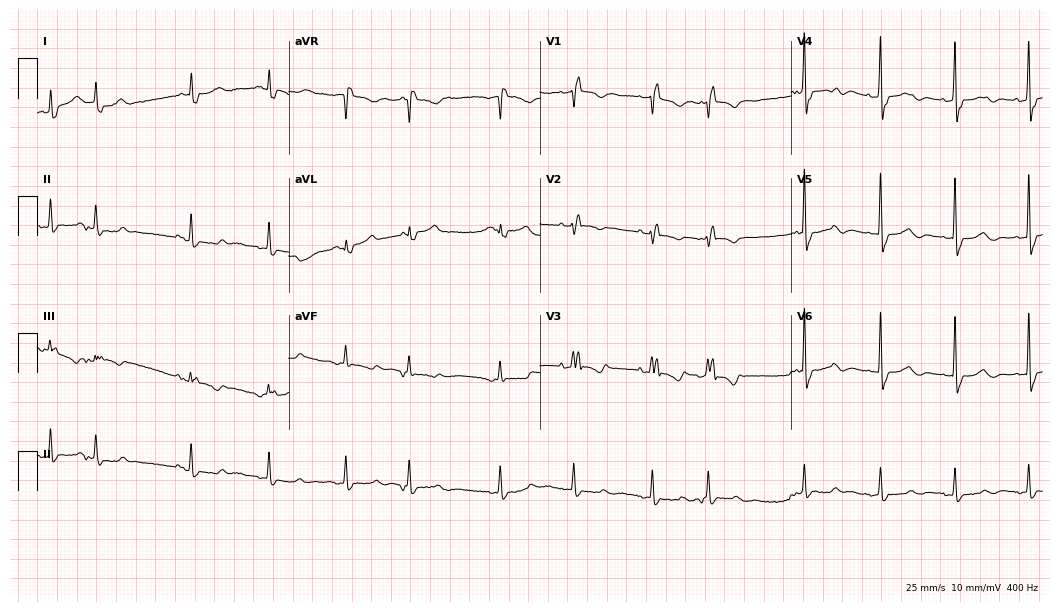
Resting 12-lead electrocardiogram (10.2-second recording at 400 Hz). Patient: a female, 84 years old. The tracing shows right bundle branch block (RBBB).